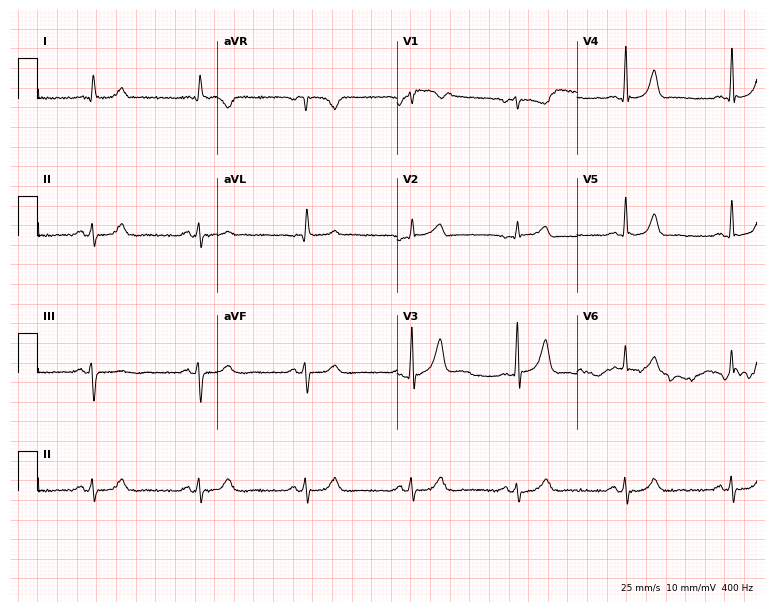
Resting 12-lead electrocardiogram. Patient: a 72-year-old male. Read as a normal ECG.